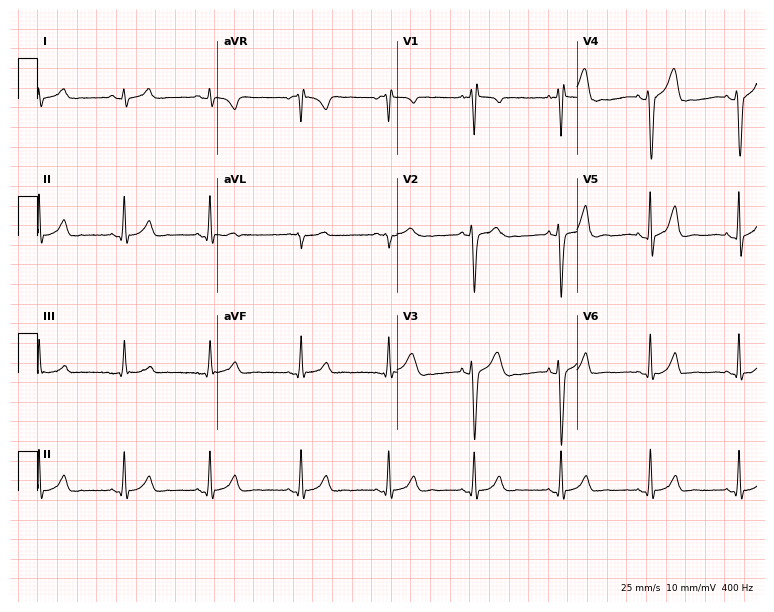
Electrocardiogram (7.3-second recording at 400 Hz), a male patient, 21 years old. Of the six screened findings (first-degree AV block, right bundle branch block, left bundle branch block, sinus bradycardia, atrial fibrillation, sinus tachycardia), none is recorded. Other findings, if any, are not listed.